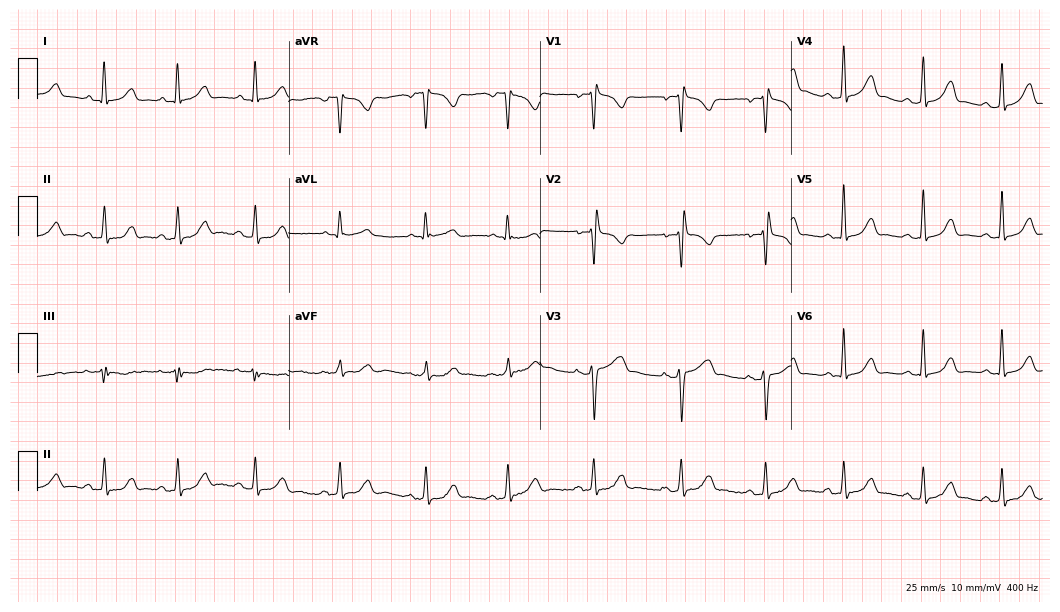
Electrocardiogram, a 35-year-old woman. Of the six screened findings (first-degree AV block, right bundle branch block, left bundle branch block, sinus bradycardia, atrial fibrillation, sinus tachycardia), none is recorded. Findings outside these six are not listed.